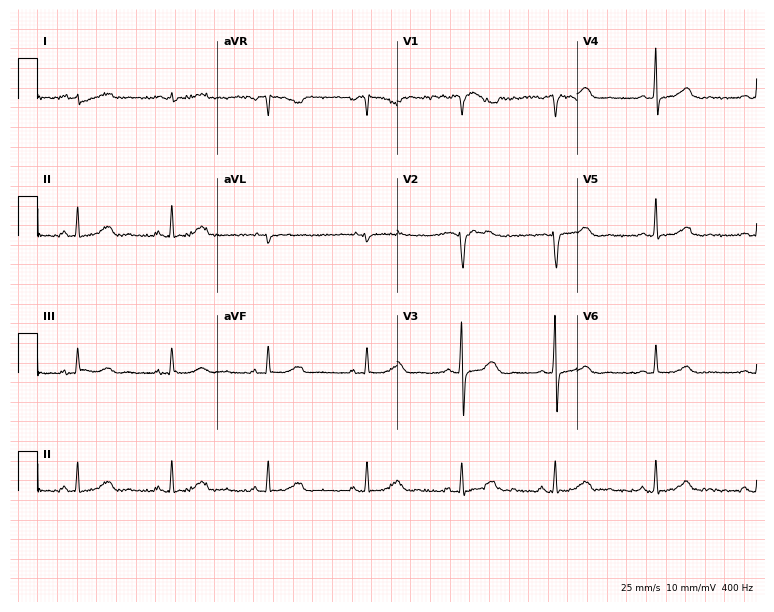
Electrocardiogram, a female patient, 57 years old. Overall reading on record: normal ECG.